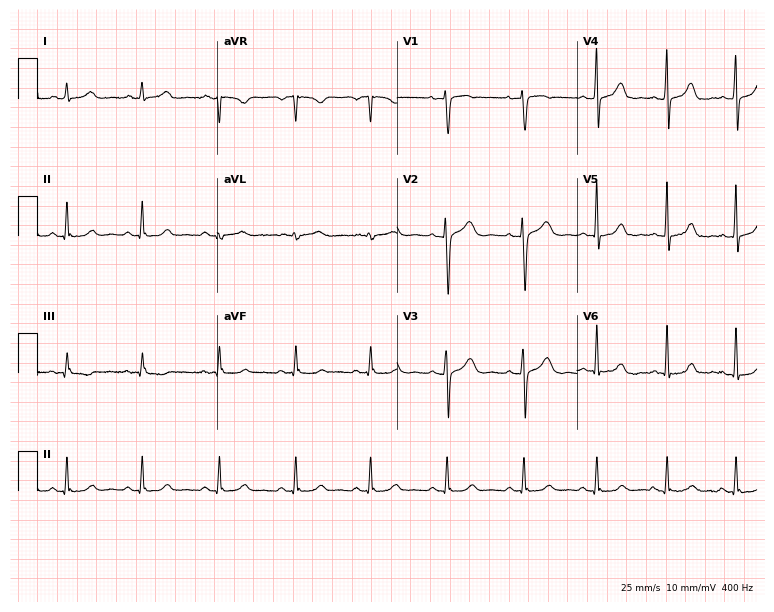
12-lead ECG (7.3-second recording at 400 Hz) from a 53-year-old woman. Labelled as a normal ECG.